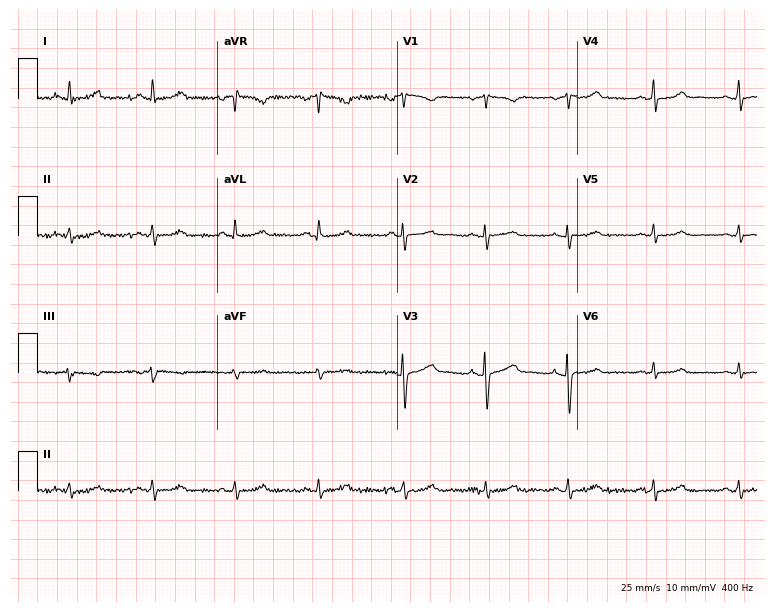
Resting 12-lead electrocardiogram. Patient: a 34-year-old female. None of these six findings is recorded: first-degree AV block, right bundle branch block, left bundle branch block, sinus bradycardia, atrial fibrillation, sinus tachycardia.